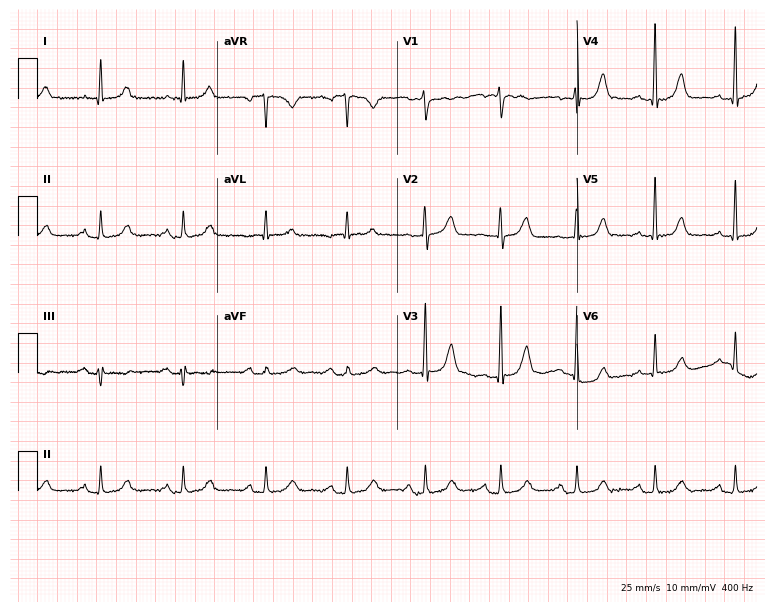
ECG — a 63-year-old woman. Labelled as a normal ECG.